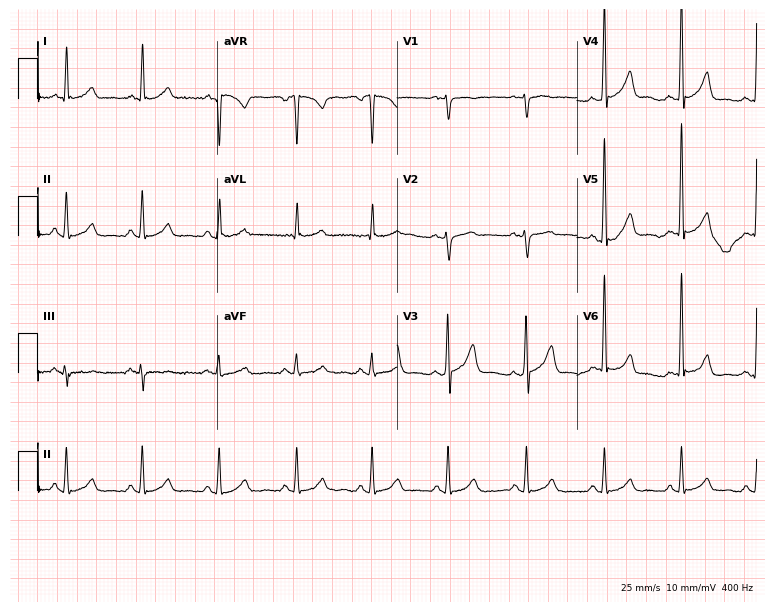
12-lead ECG from a 57-year-old man. Screened for six findings — first-degree AV block, right bundle branch block, left bundle branch block, sinus bradycardia, atrial fibrillation, sinus tachycardia — none is recorded.